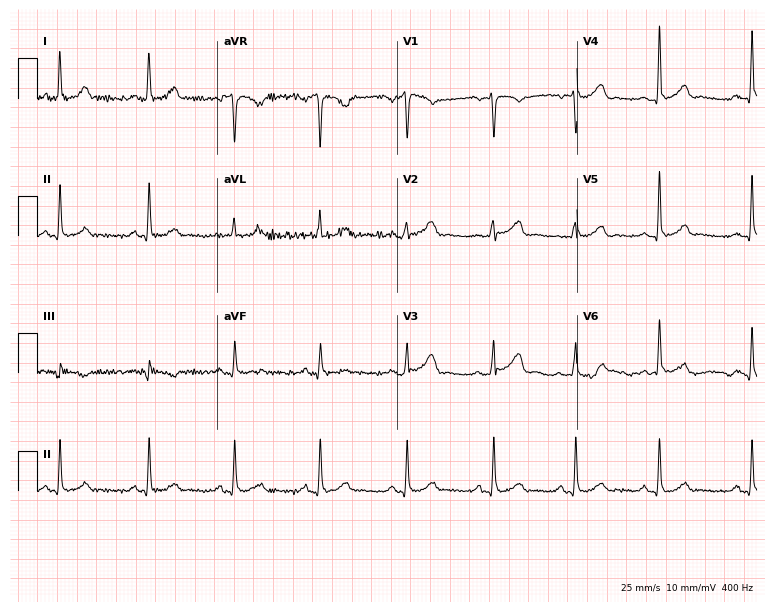
Resting 12-lead electrocardiogram. Patient: a female, 33 years old. None of these six findings is recorded: first-degree AV block, right bundle branch block, left bundle branch block, sinus bradycardia, atrial fibrillation, sinus tachycardia.